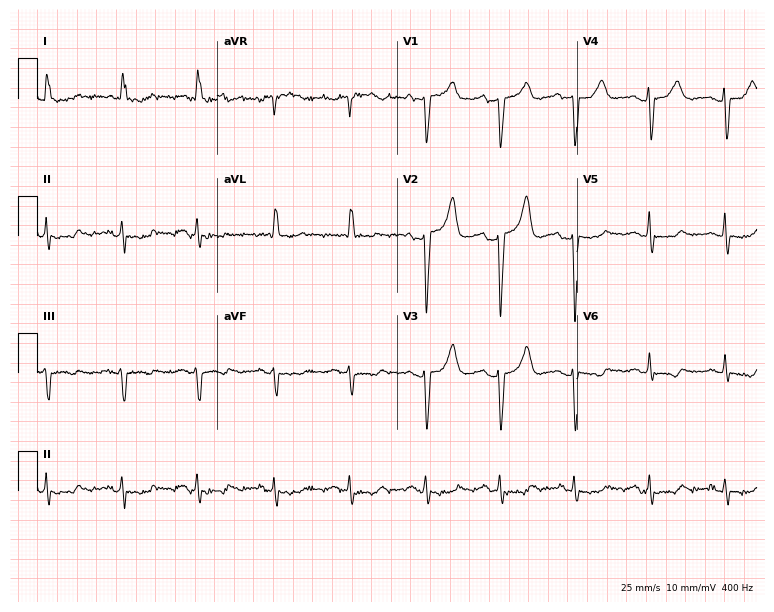
Standard 12-lead ECG recorded from a female, 83 years old. None of these six findings is recorded: first-degree AV block, right bundle branch block (RBBB), left bundle branch block (LBBB), sinus bradycardia, atrial fibrillation (AF), sinus tachycardia.